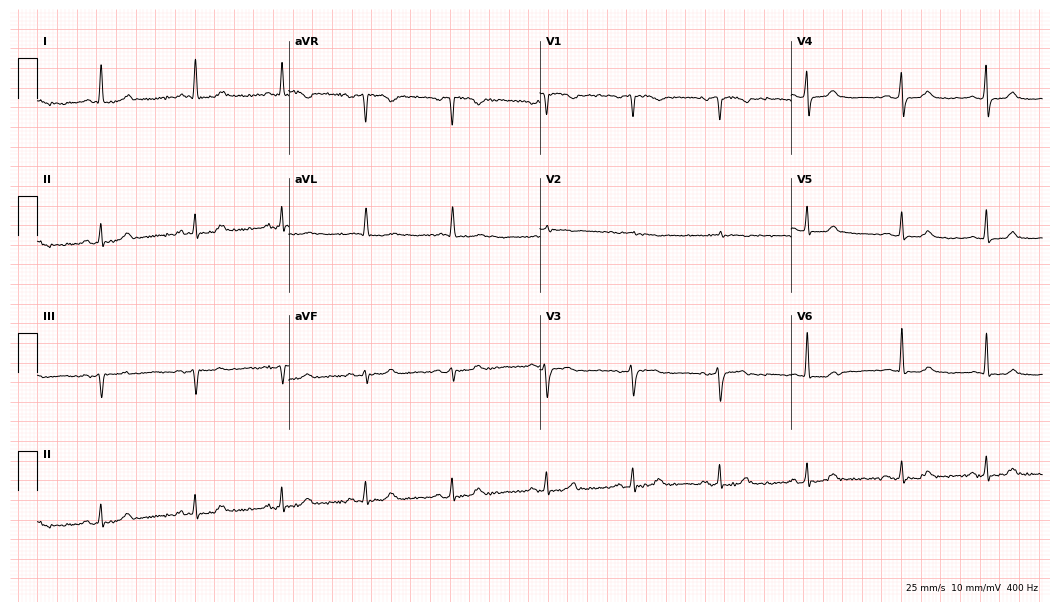
Standard 12-lead ECG recorded from a 64-year-old woman (10.2-second recording at 400 Hz). None of these six findings is recorded: first-degree AV block, right bundle branch block (RBBB), left bundle branch block (LBBB), sinus bradycardia, atrial fibrillation (AF), sinus tachycardia. Only these six findings were labelled.